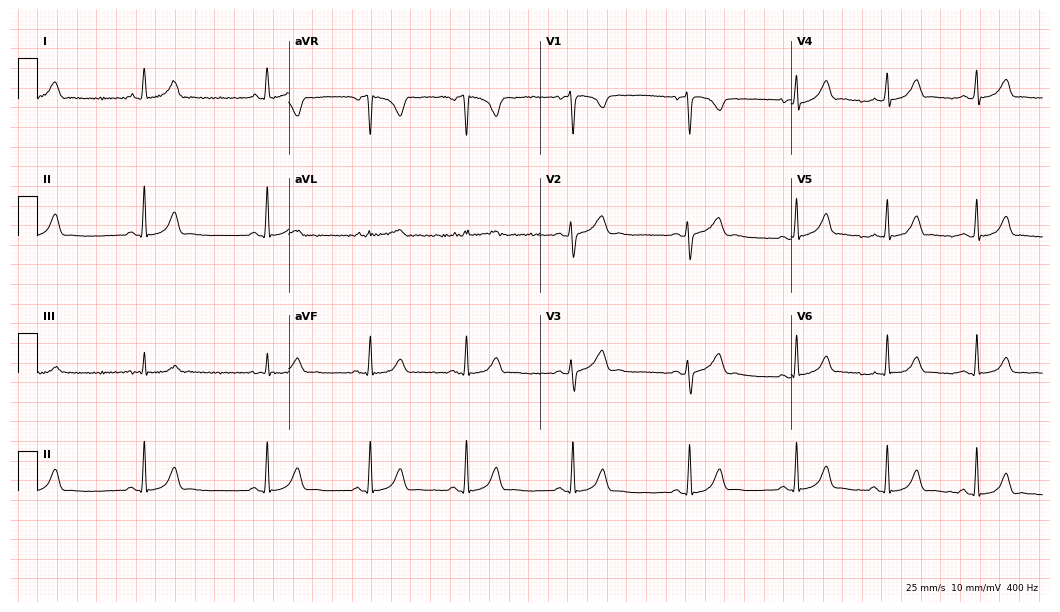
Resting 12-lead electrocardiogram. Patient: a female, 23 years old. Read as a normal ECG.